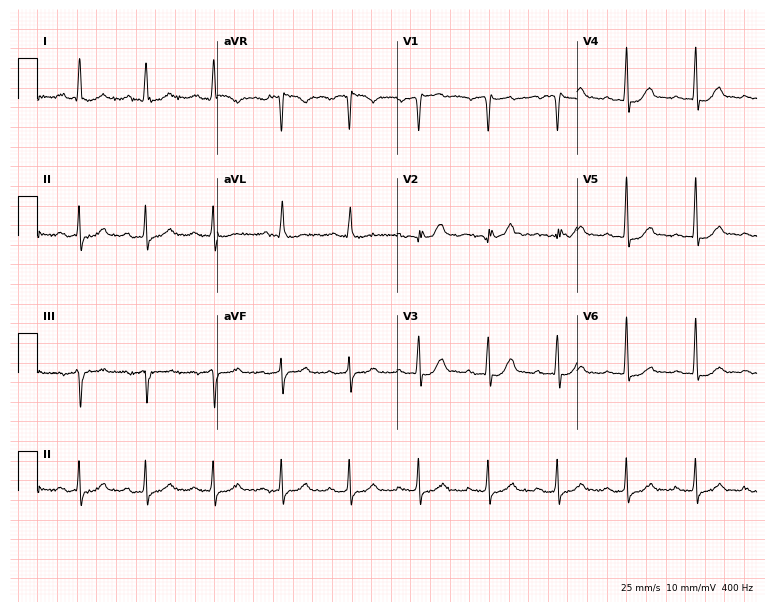
Electrocardiogram (7.3-second recording at 400 Hz), a male patient, 59 years old. Of the six screened findings (first-degree AV block, right bundle branch block, left bundle branch block, sinus bradycardia, atrial fibrillation, sinus tachycardia), none is recorded.